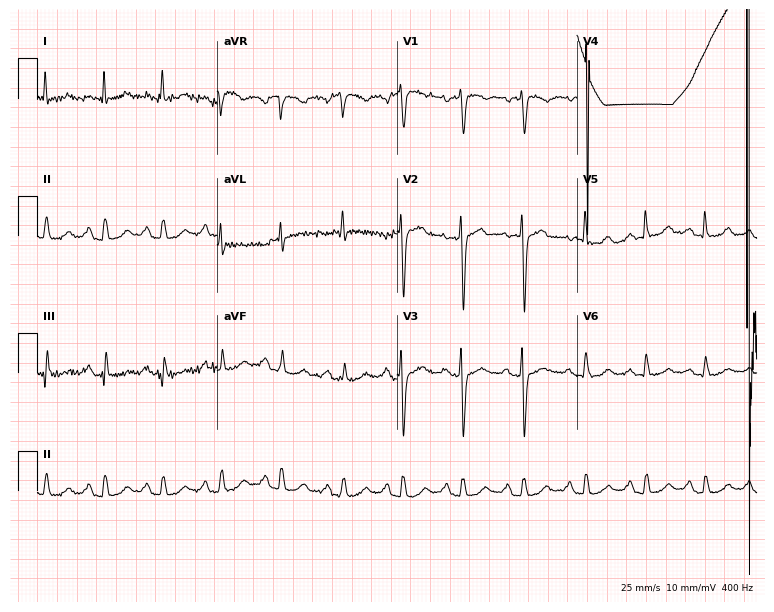
12-lead ECG (7.3-second recording at 400 Hz) from an 81-year-old female patient. Screened for six findings — first-degree AV block, right bundle branch block (RBBB), left bundle branch block (LBBB), sinus bradycardia, atrial fibrillation (AF), sinus tachycardia — none is recorded.